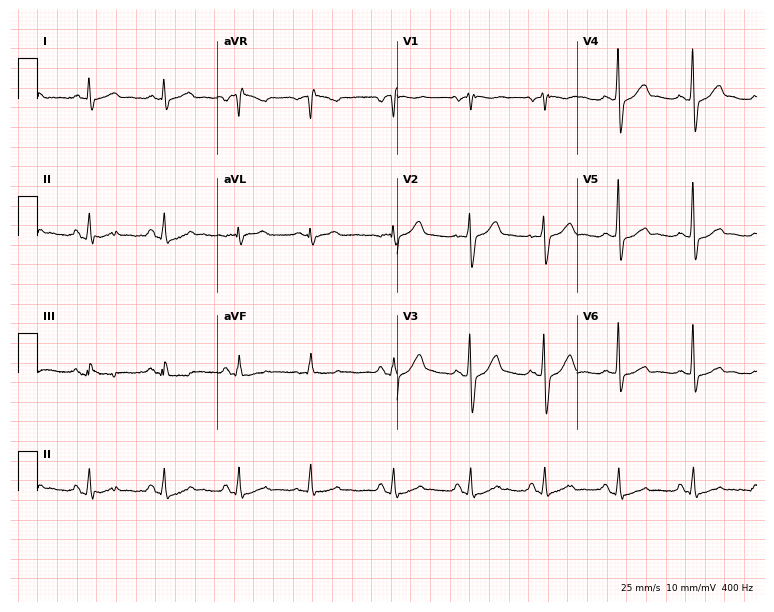
12-lead ECG from a 72-year-old male. Recorded interpretation: within normal limits.